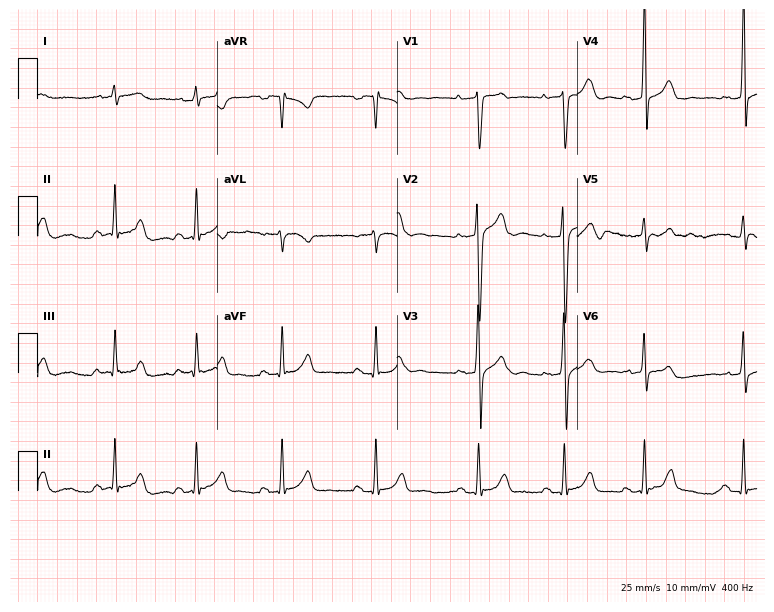
Electrocardiogram, a 32-year-old male patient. Of the six screened findings (first-degree AV block, right bundle branch block, left bundle branch block, sinus bradycardia, atrial fibrillation, sinus tachycardia), none is recorded.